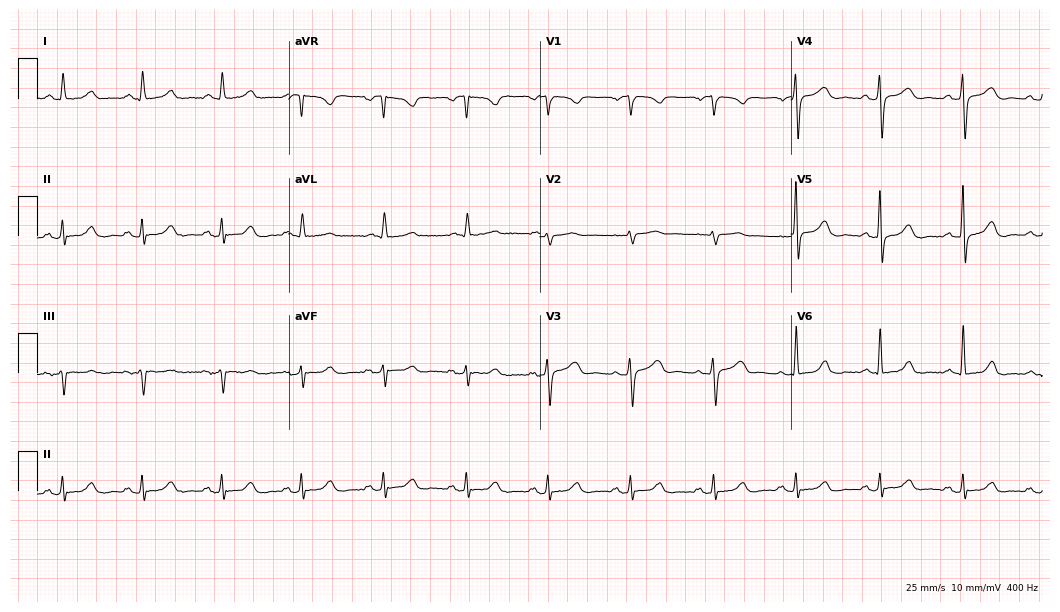
ECG (10.2-second recording at 400 Hz) — a 65-year-old female. Labelled as a normal ECG.